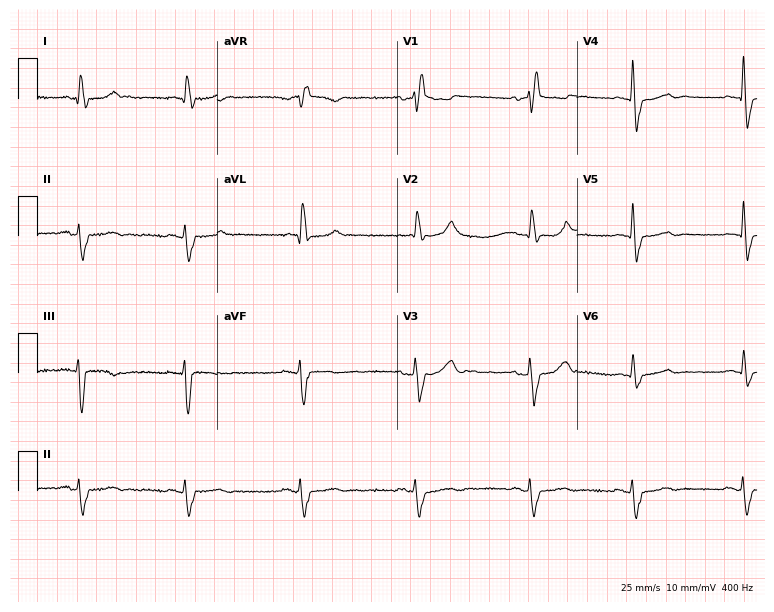
12-lead ECG from a 75-year-old man. Shows right bundle branch block (RBBB).